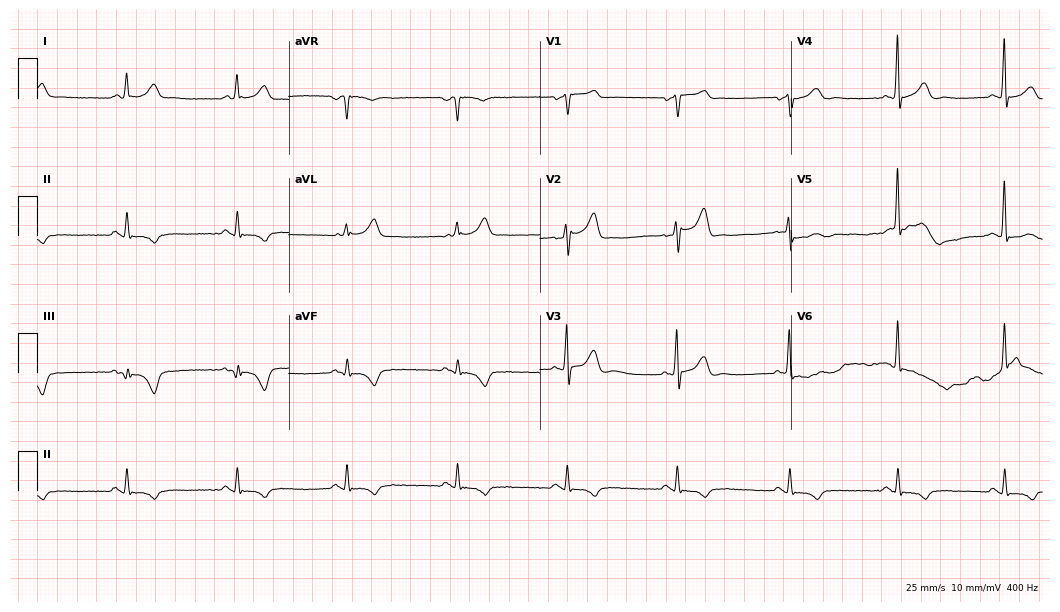
Electrocardiogram (10.2-second recording at 400 Hz), a male, 57 years old. Of the six screened findings (first-degree AV block, right bundle branch block, left bundle branch block, sinus bradycardia, atrial fibrillation, sinus tachycardia), none is recorded.